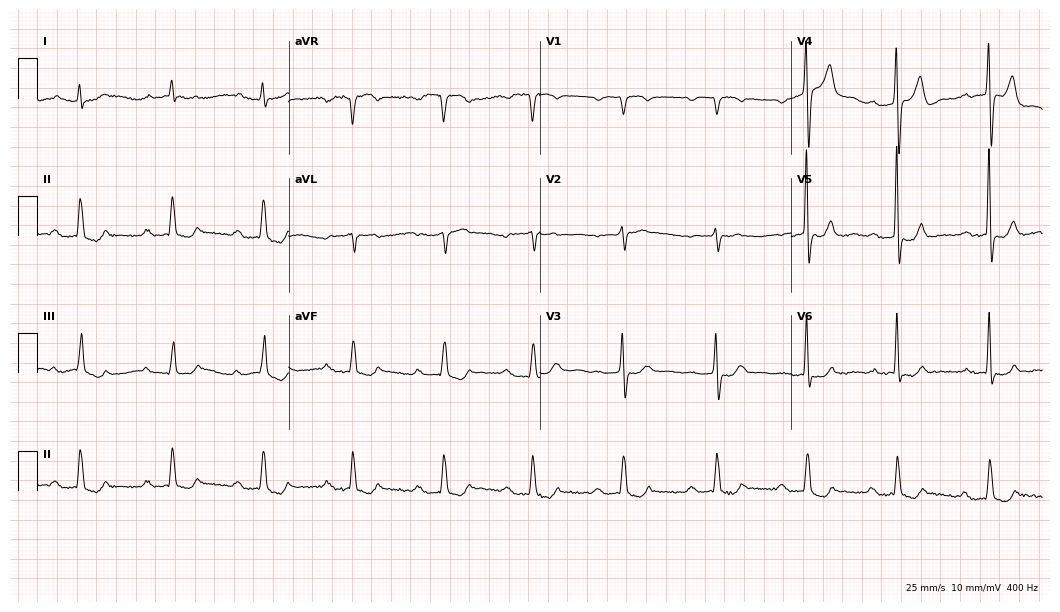
Standard 12-lead ECG recorded from a 75-year-old male. The tracing shows first-degree AV block.